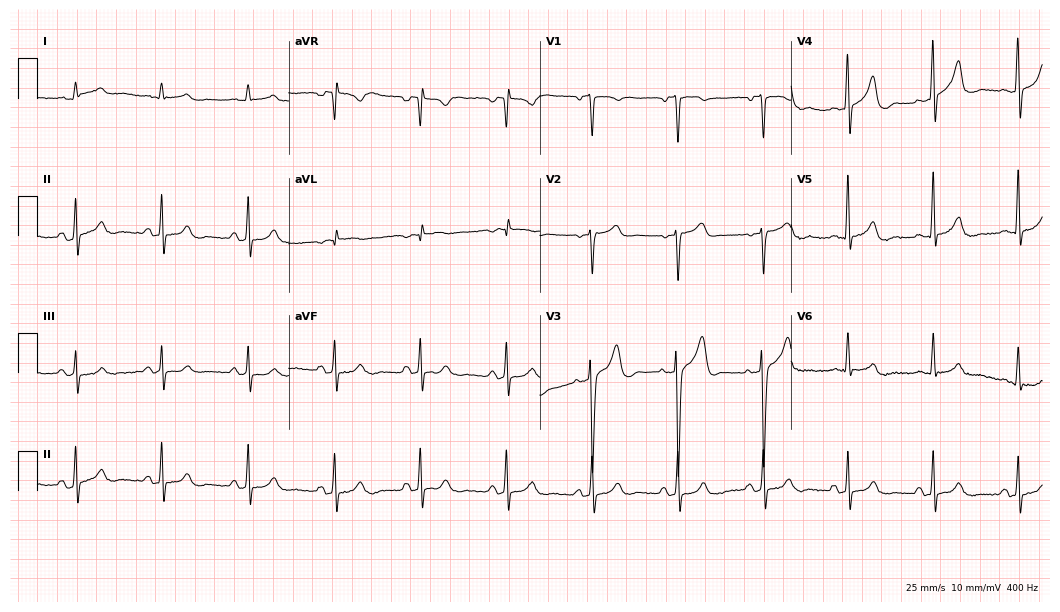
ECG — a man, 71 years old. Screened for six findings — first-degree AV block, right bundle branch block, left bundle branch block, sinus bradycardia, atrial fibrillation, sinus tachycardia — none is recorded. Only these six findings were labelled.